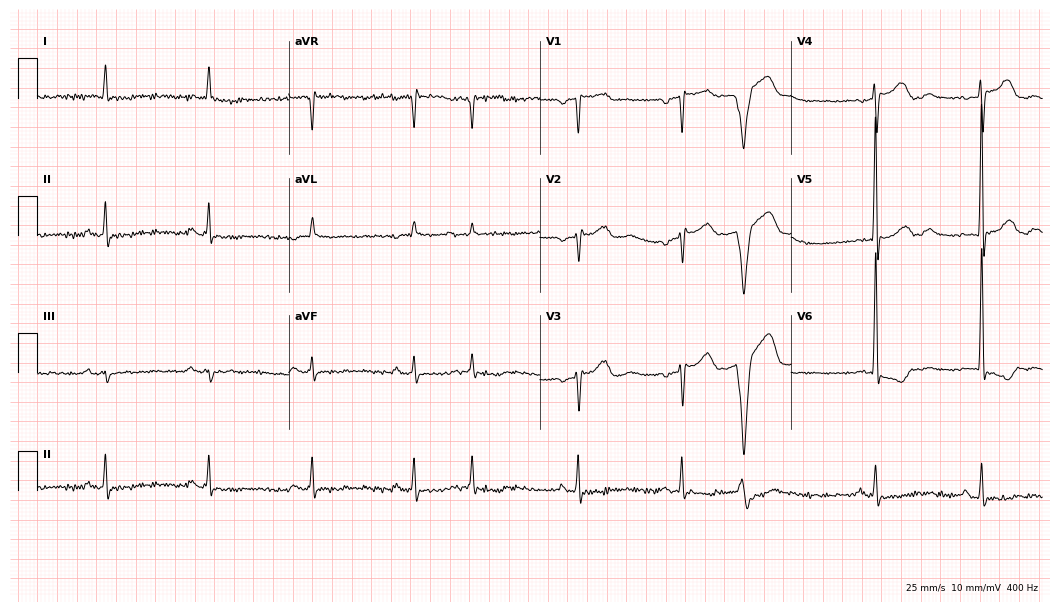
Standard 12-lead ECG recorded from a 75-year-old man (10.2-second recording at 400 Hz). None of these six findings is recorded: first-degree AV block, right bundle branch block, left bundle branch block, sinus bradycardia, atrial fibrillation, sinus tachycardia. Findings outside these six are not listed.